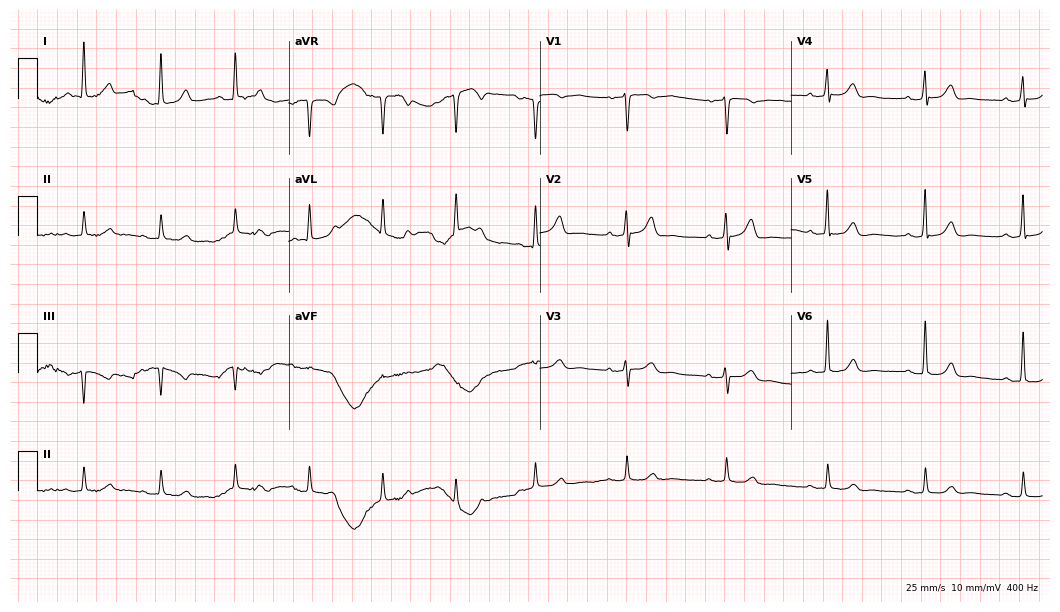
Electrocardiogram, a 68-year-old female patient. Overall reading on record: normal ECG.